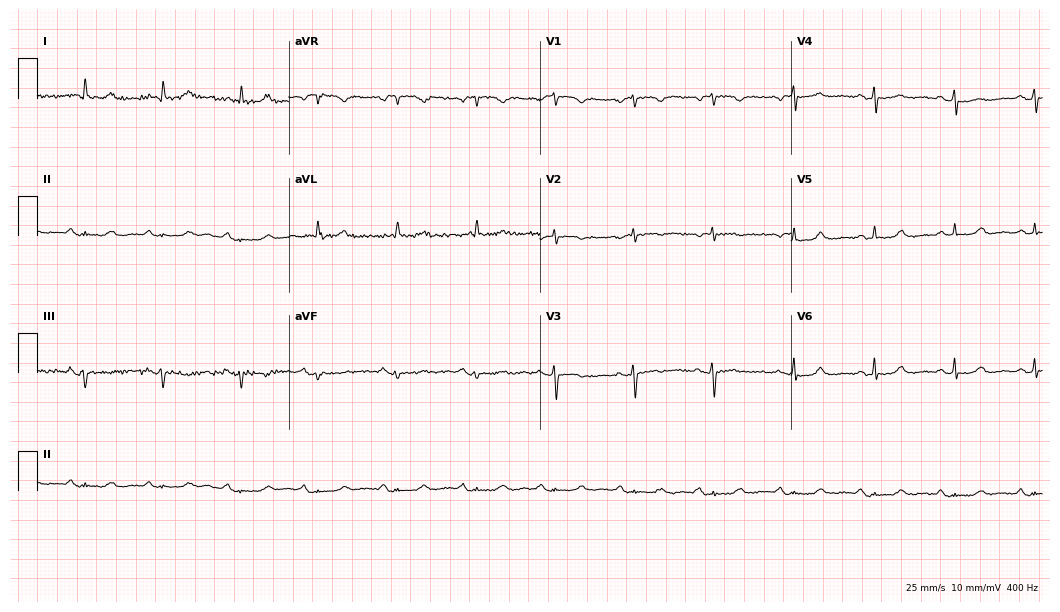
ECG (10.2-second recording at 400 Hz) — an 81-year-old female. Screened for six findings — first-degree AV block, right bundle branch block, left bundle branch block, sinus bradycardia, atrial fibrillation, sinus tachycardia — none is recorded.